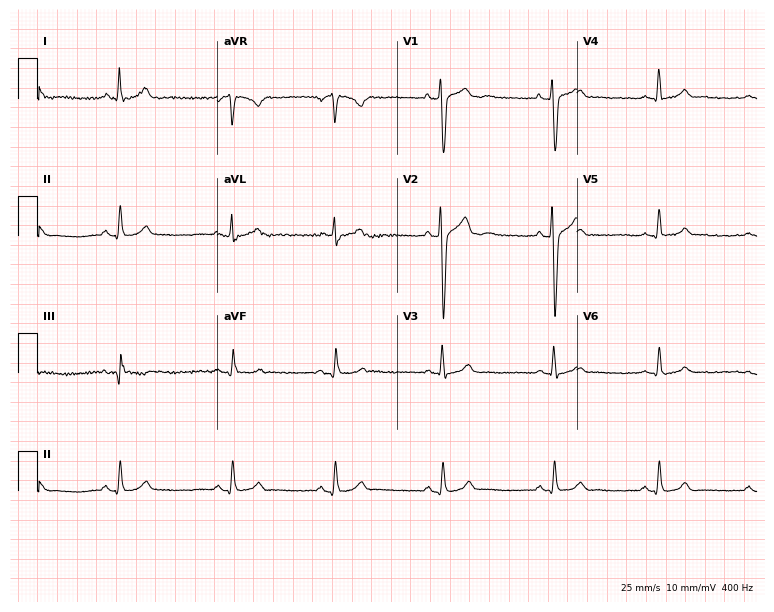
12-lead ECG from a male patient, 26 years old (7.3-second recording at 400 Hz). Recorded interpretation: within normal limits.